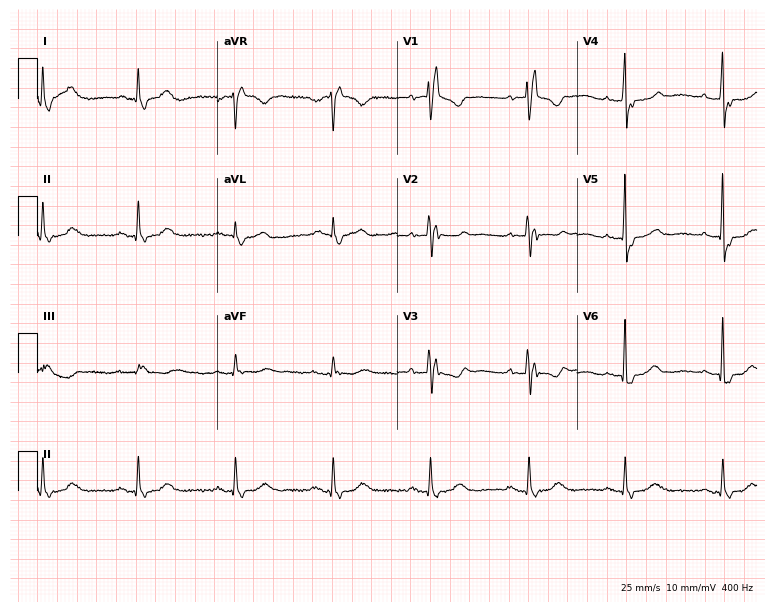
12-lead ECG (7.3-second recording at 400 Hz) from a woman, 64 years old. Findings include right bundle branch block (RBBB).